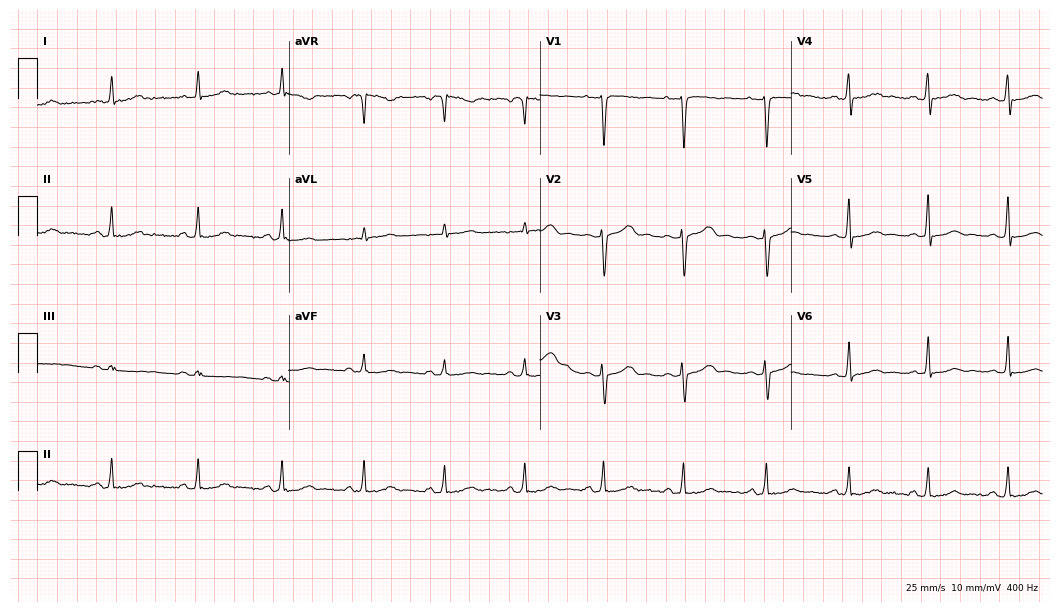
ECG — a 33-year-old female. Screened for six findings — first-degree AV block, right bundle branch block (RBBB), left bundle branch block (LBBB), sinus bradycardia, atrial fibrillation (AF), sinus tachycardia — none is recorded. Only these six findings were labelled.